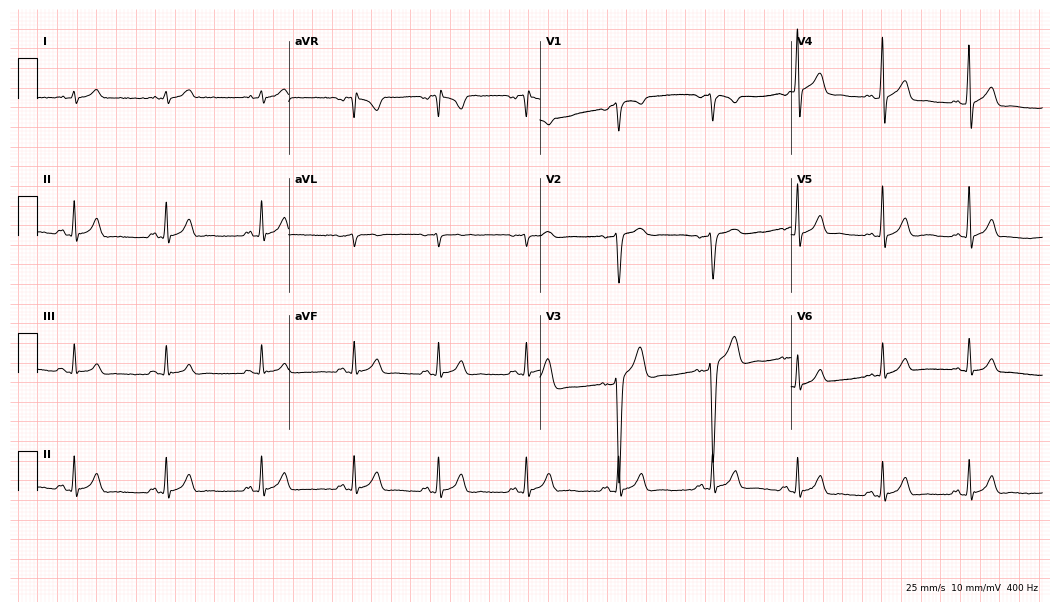
Electrocardiogram (10.2-second recording at 400 Hz), a male, 25 years old. Overall reading on record: normal ECG.